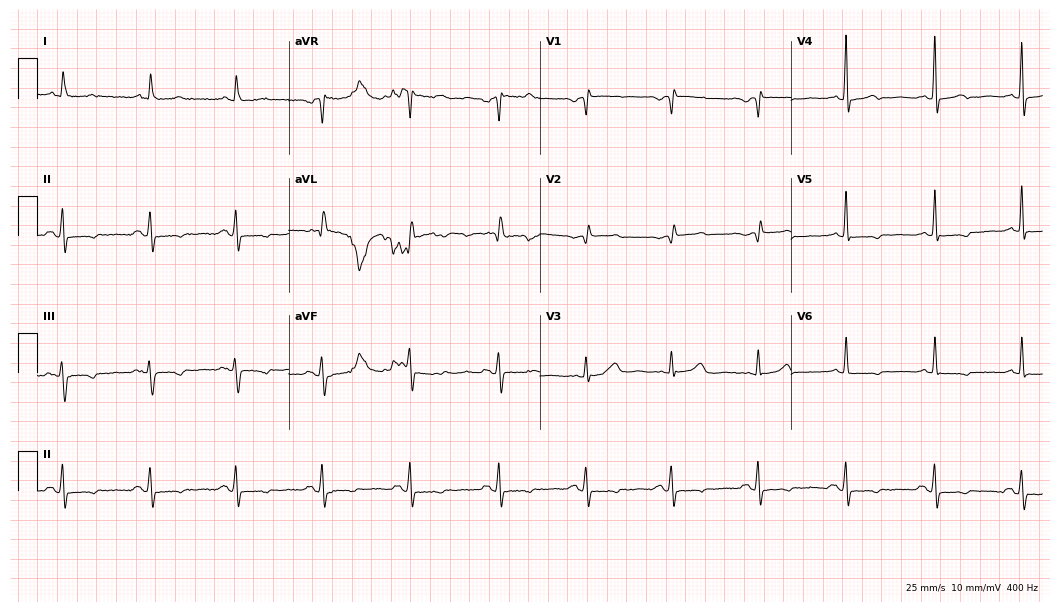
12-lead ECG from an 80-year-old female. No first-degree AV block, right bundle branch block (RBBB), left bundle branch block (LBBB), sinus bradycardia, atrial fibrillation (AF) or sinus tachycardia recorded for this tracing. Other findings, if any, are not listed.